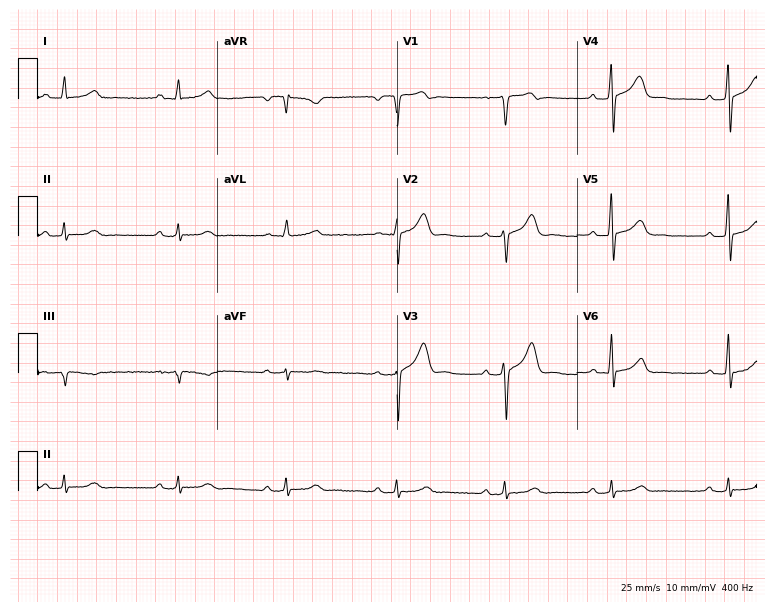
ECG — a 44-year-old man. Findings include first-degree AV block.